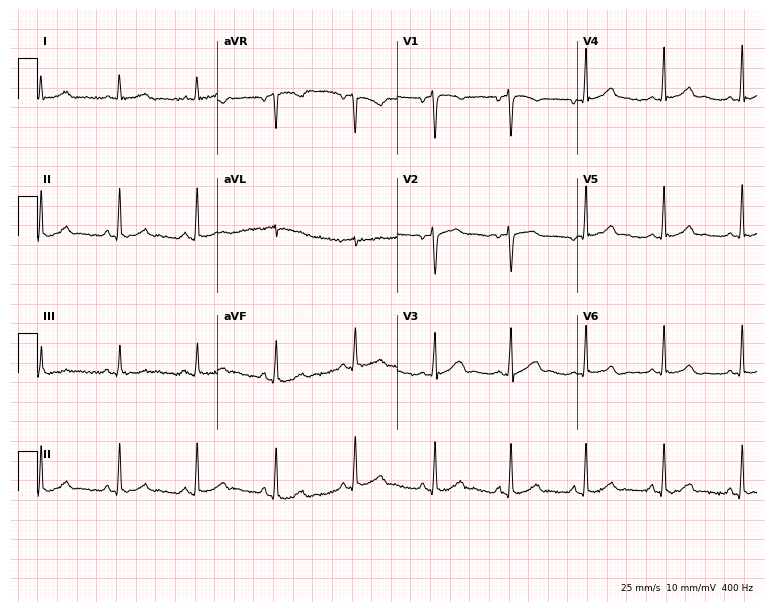
12-lead ECG (7.3-second recording at 400 Hz) from a female, 33 years old. Labelled as a normal ECG.